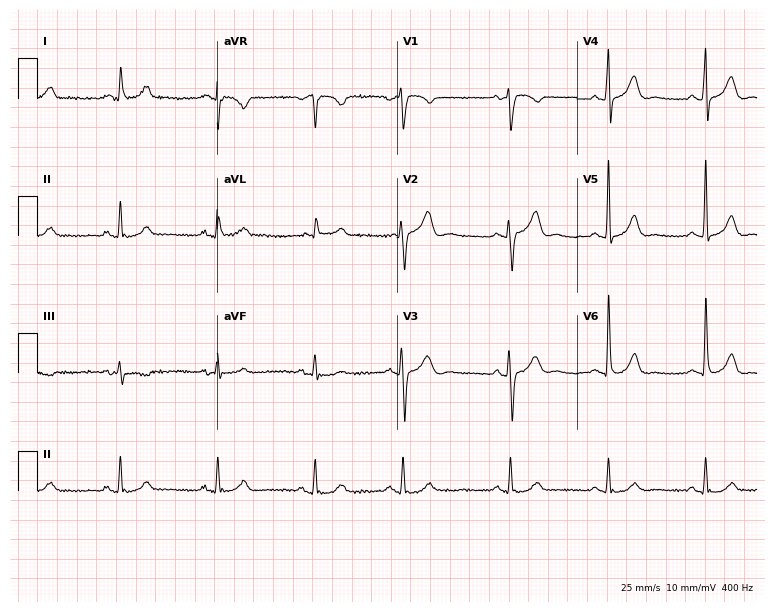
ECG — a 69-year-old man. Labelled as a normal ECG.